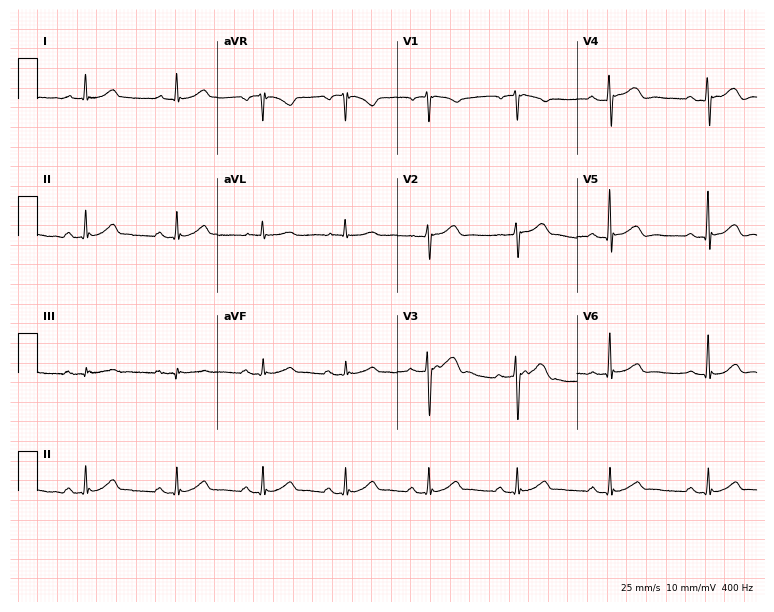
12-lead ECG from a 69-year-old male patient. Recorded interpretation: within normal limits.